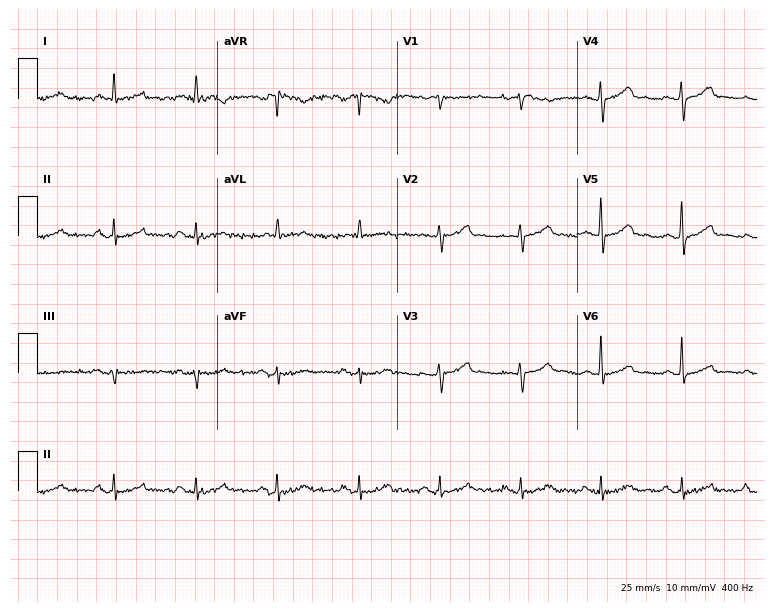
Resting 12-lead electrocardiogram. Patient: a 77-year-old man. Read as a normal ECG.